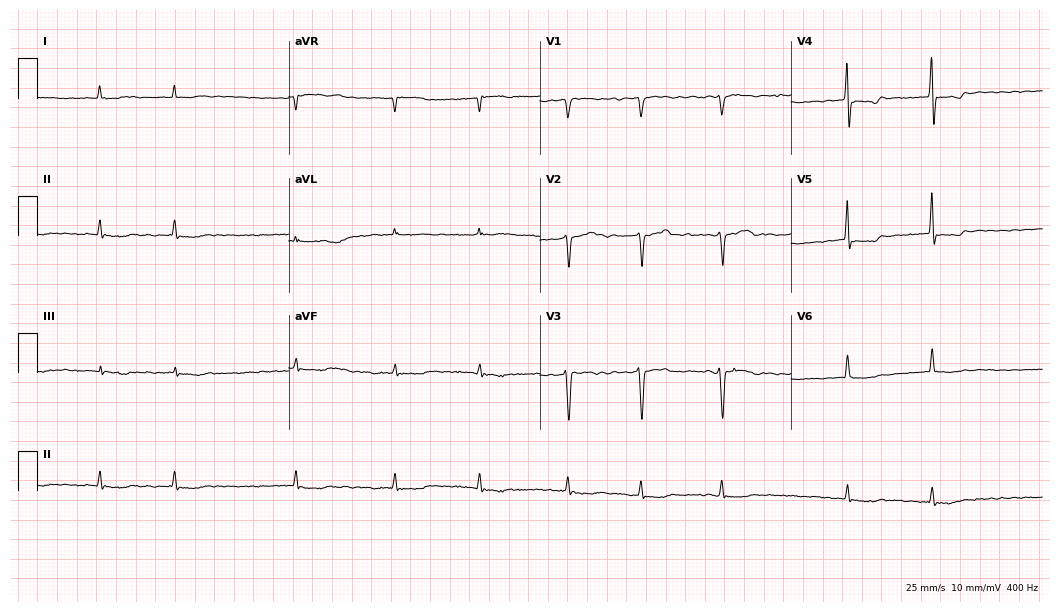
Standard 12-lead ECG recorded from a man, 76 years old. The tracing shows atrial fibrillation.